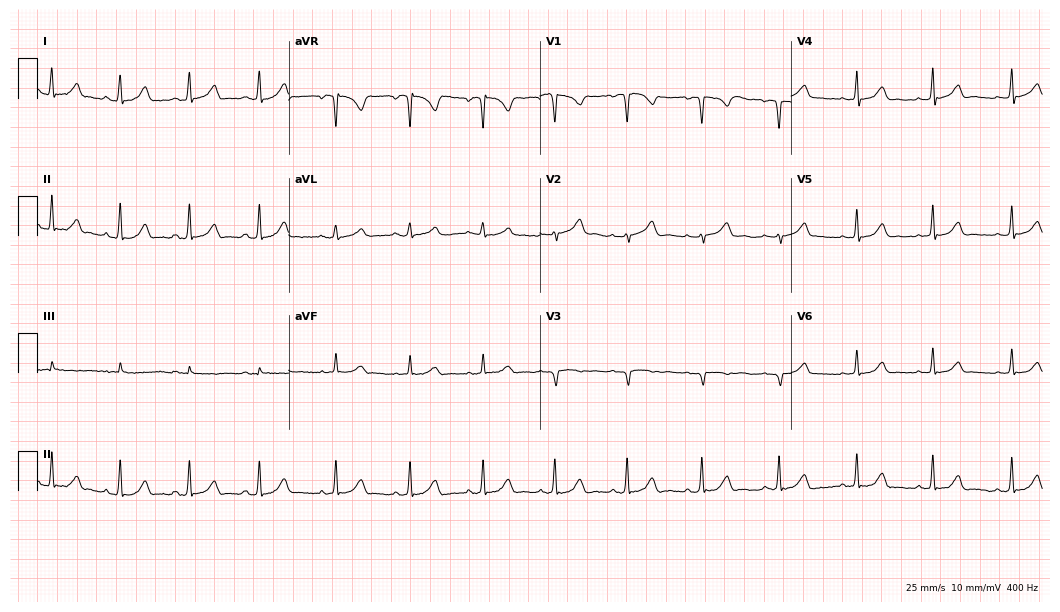
Electrocardiogram (10.2-second recording at 400 Hz), a female, 22 years old. Overall reading on record: normal ECG.